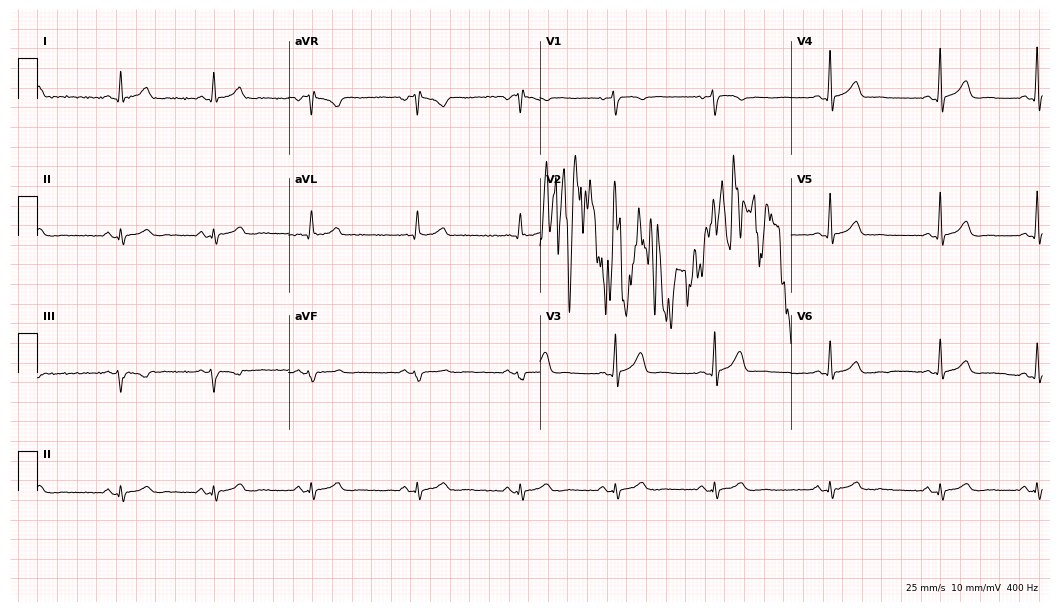
Resting 12-lead electrocardiogram (10.2-second recording at 400 Hz). Patient: a male, 39 years old. None of these six findings is recorded: first-degree AV block, right bundle branch block, left bundle branch block, sinus bradycardia, atrial fibrillation, sinus tachycardia.